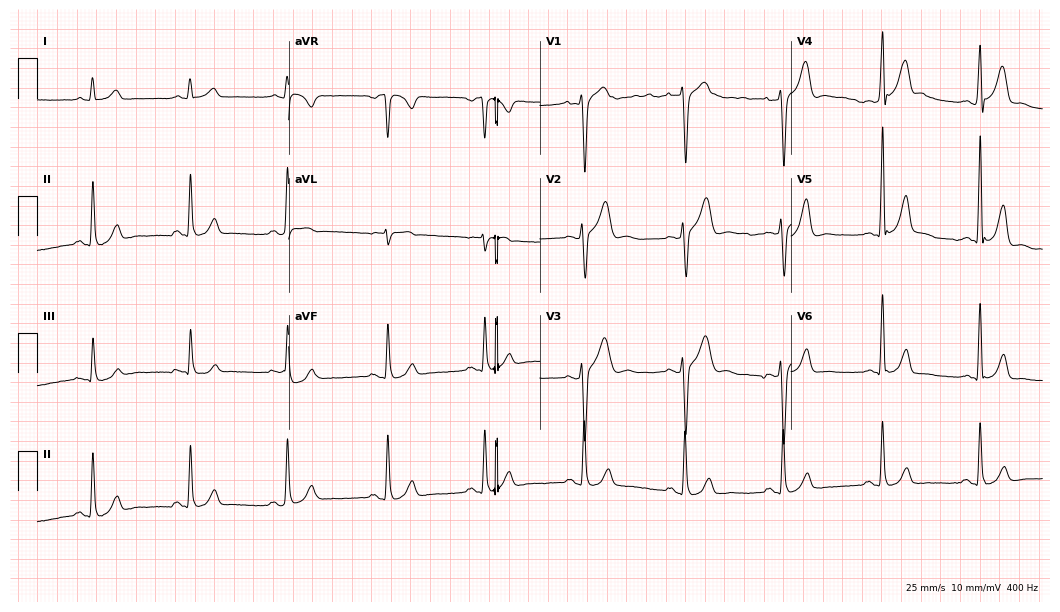
Standard 12-lead ECG recorded from a male, 50 years old (10.2-second recording at 400 Hz). Read as a normal ECG.